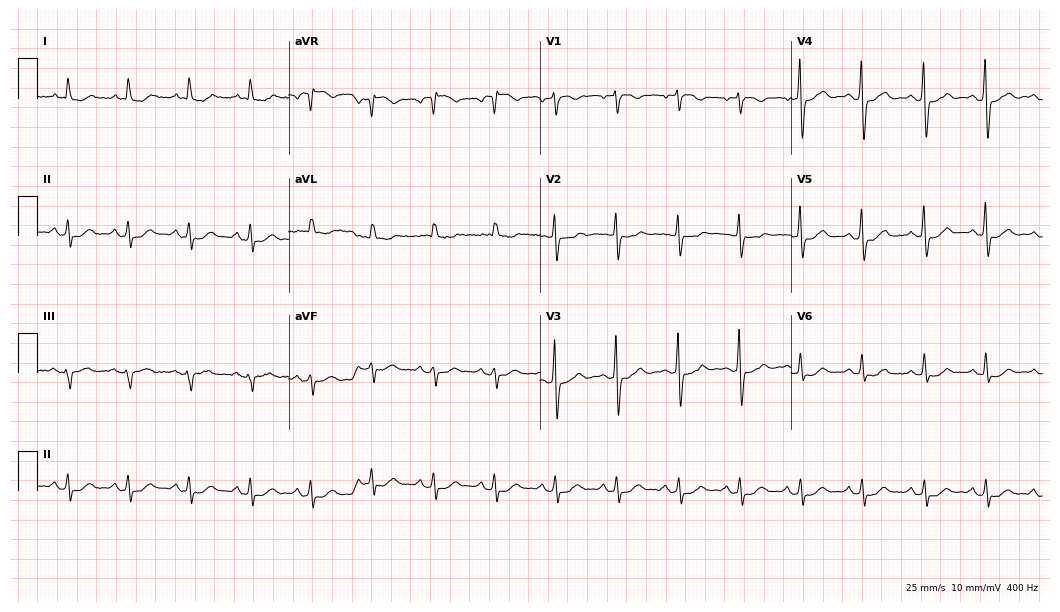
12-lead ECG from a female patient, 75 years old (10.2-second recording at 400 Hz). Recorded interpretation: within normal limits.